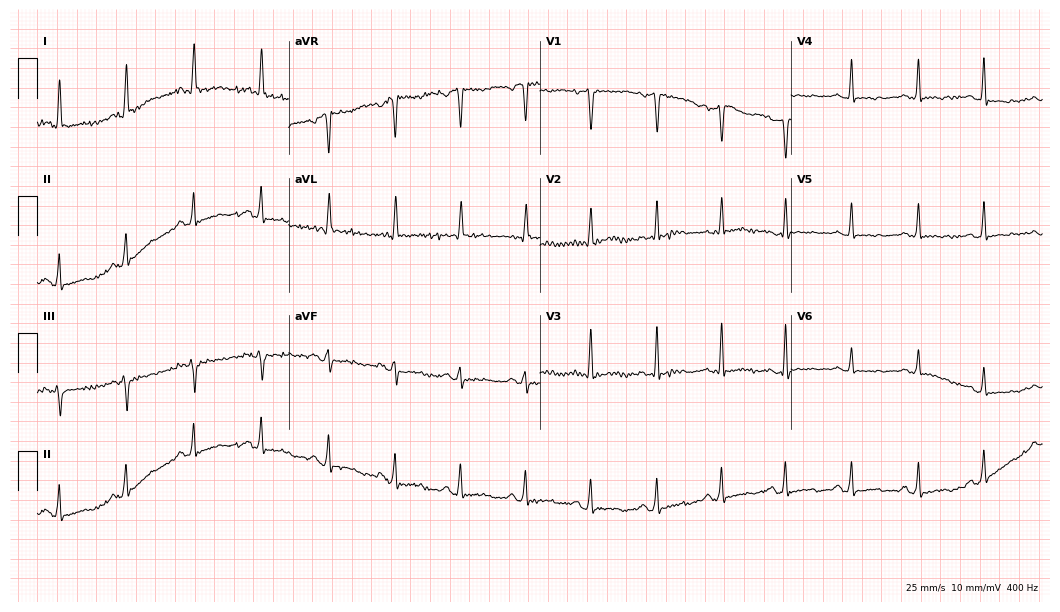
Resting 12-lead electrocardiogram. Patient: a female, 59 years old. None of these six findings is recorded: first-degree AV block, right bundle branch block, left bundle branch block, sinus bradycardia, atrial fibrillation, sinus tachycardia.